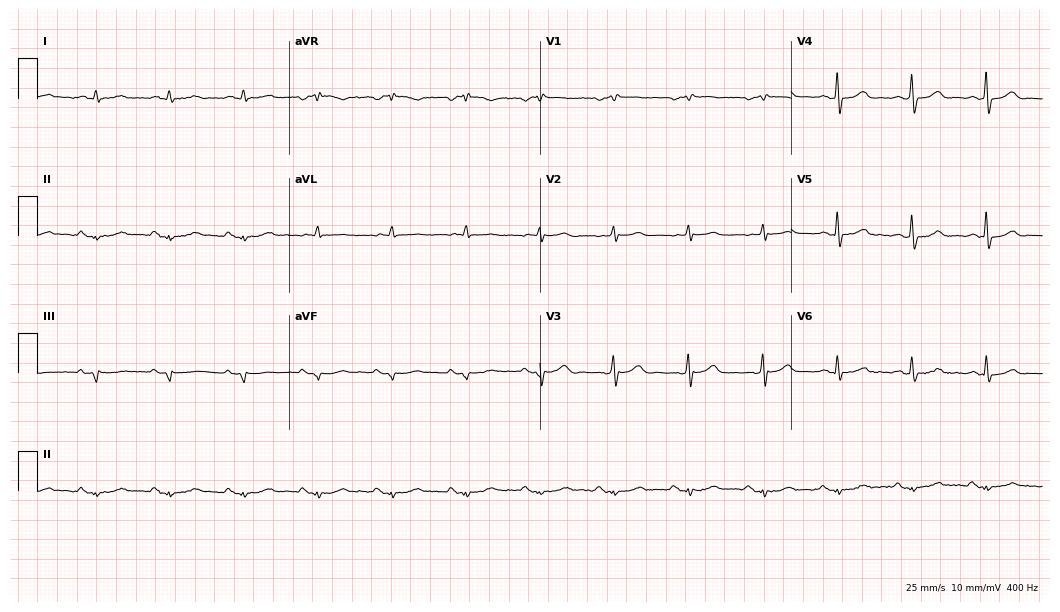
12-lead ECG (10.2-second recording at 400 Hz) from an 83-year-old man. Screened for six findings — first-degree AV block, right bundle branch block, left bundle branch block, sinus bradycardia, atrial fibrillation, sinus tachycardia — none is recorded. Findings outside these six are not listed.